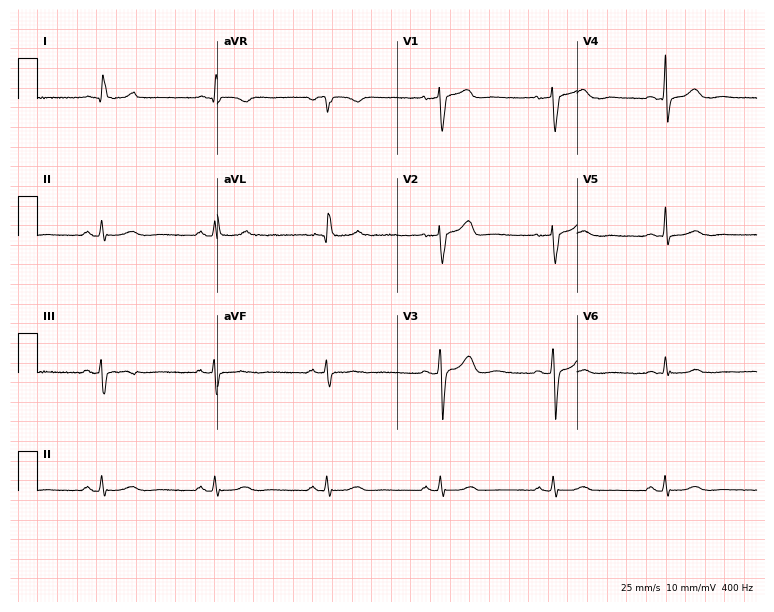
Electrocardiogram (7.3-second recording at 400 Hz), a 57-year-old female patient. Overall reading on record: normal ECG.